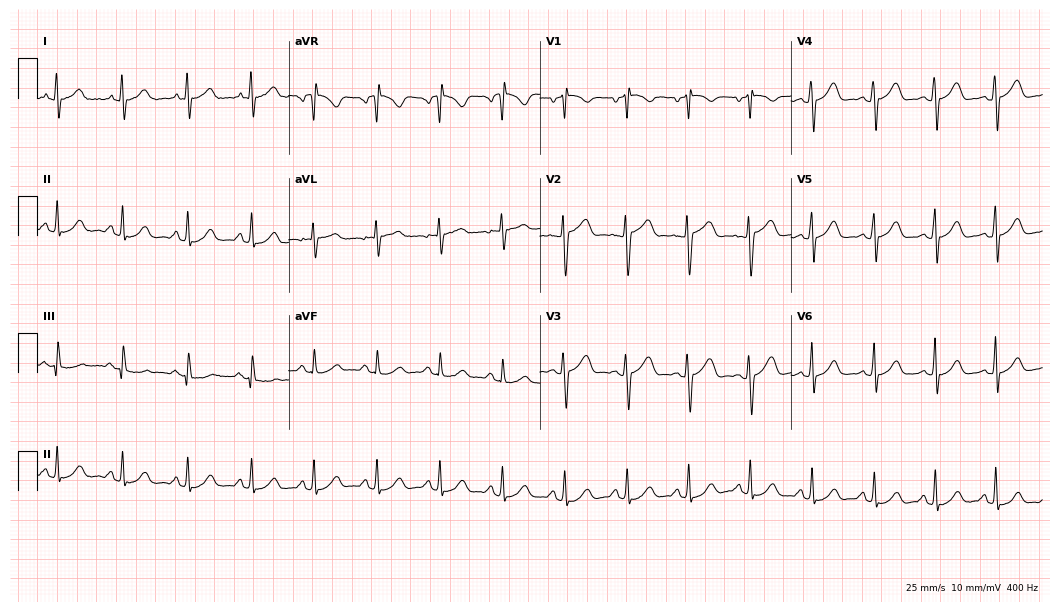
Standard 12-lead ECG recorded from a female patient, 27 years old. Read as a normal ECG.